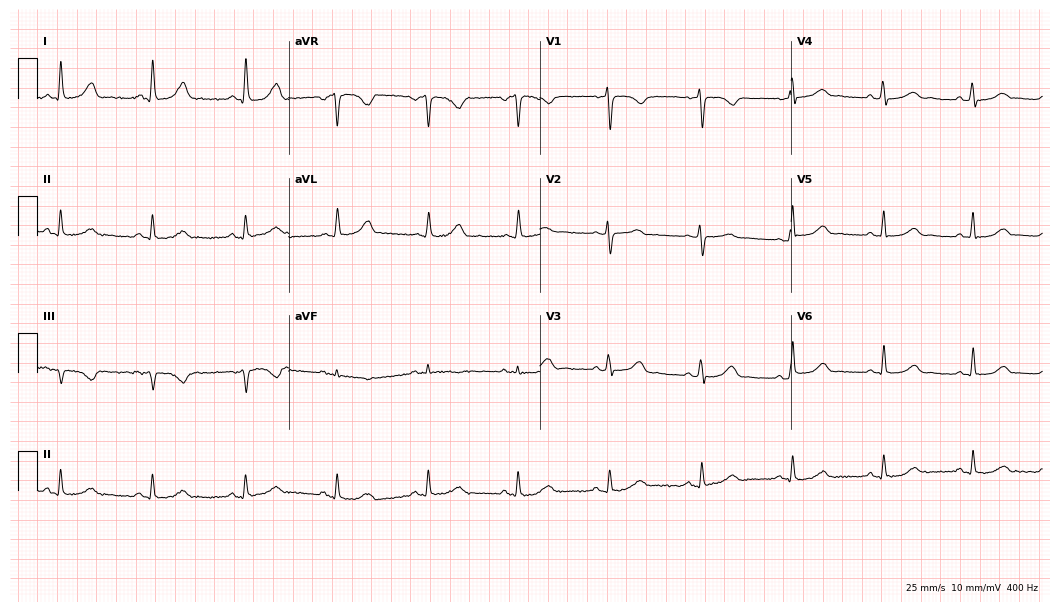
Standard 12-lead ECG recorded from a 54-year-old woman (10.2-second recording at 400 Hz). None of these six findings is recorded: first-degree AV block, right bundle branch block, left bundle branch block, sinus bradycardia, atrial fibrillation, sinus tachycardia.